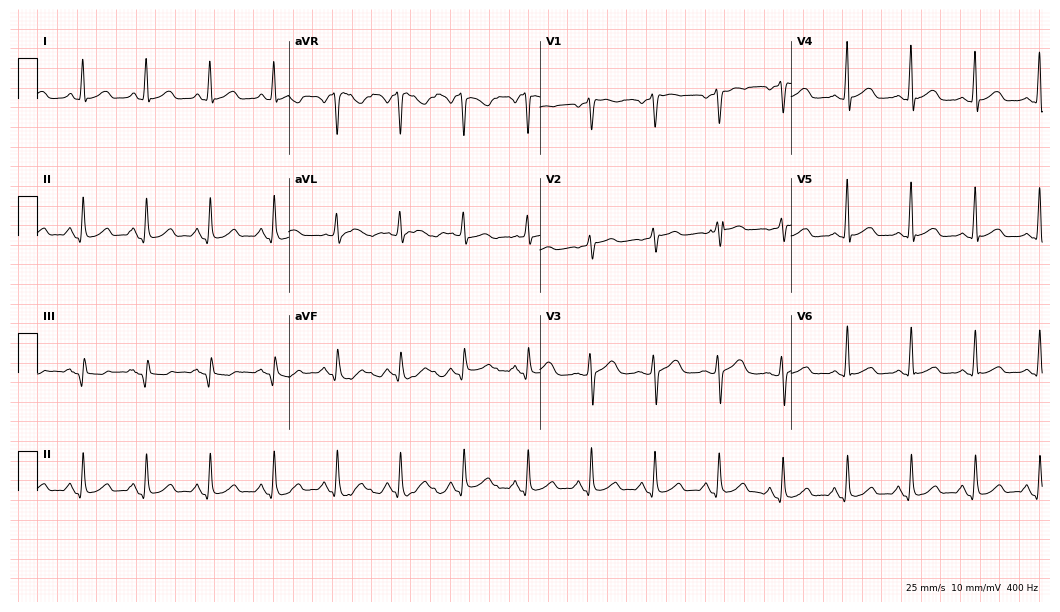
Resting 12-lead electrocardiogram (10.2-second recording at 400 Hz). Patient: a female, 42 years old. Read as a normal ECG.